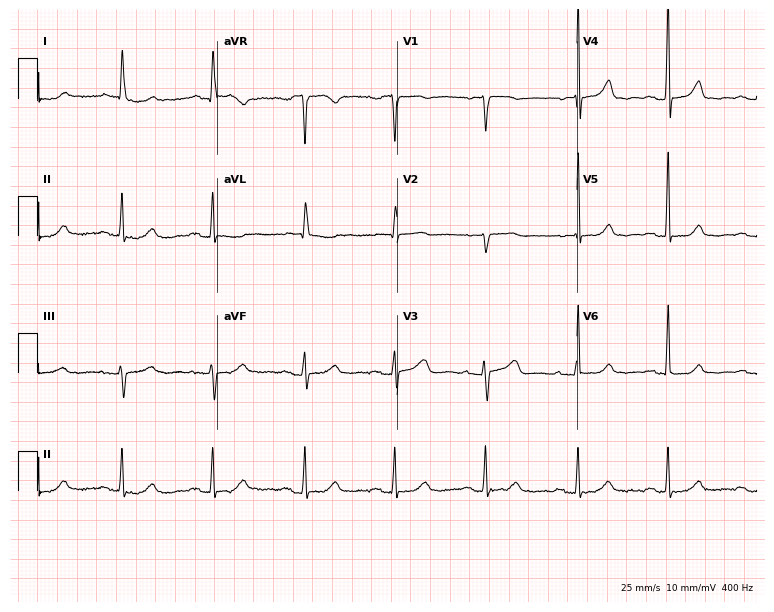
ECG — a female patient, 67 years old. Screened for six findings — first-degree AV block, right bundle branch block, left bundle branch block, sinus bradycardia, atrial fibrillation, sinus tachycardia — none is recorded.